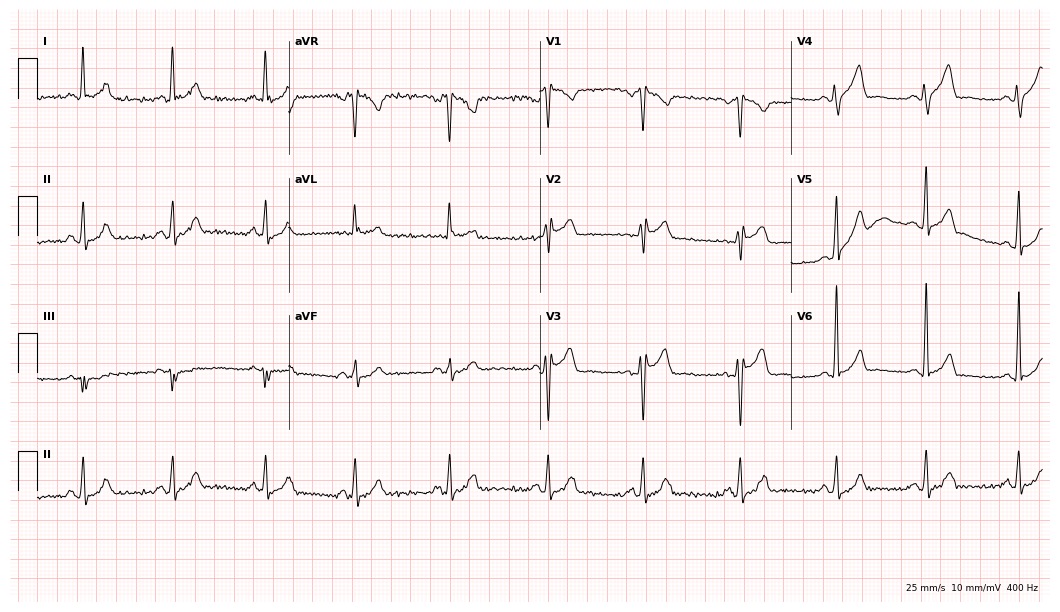
Standard 12-lead ECG recorded from a 31-year-old male patient (10.2-second recording at 400 Hz). None of these six findings is recorded: first-degree AV block, right bundle branch block (RBBB), left bundle branch block (LBBB), sinus bradycardia, atrial fibrillation (AF), sinus tachycardia. Findings outside these six are not listed.